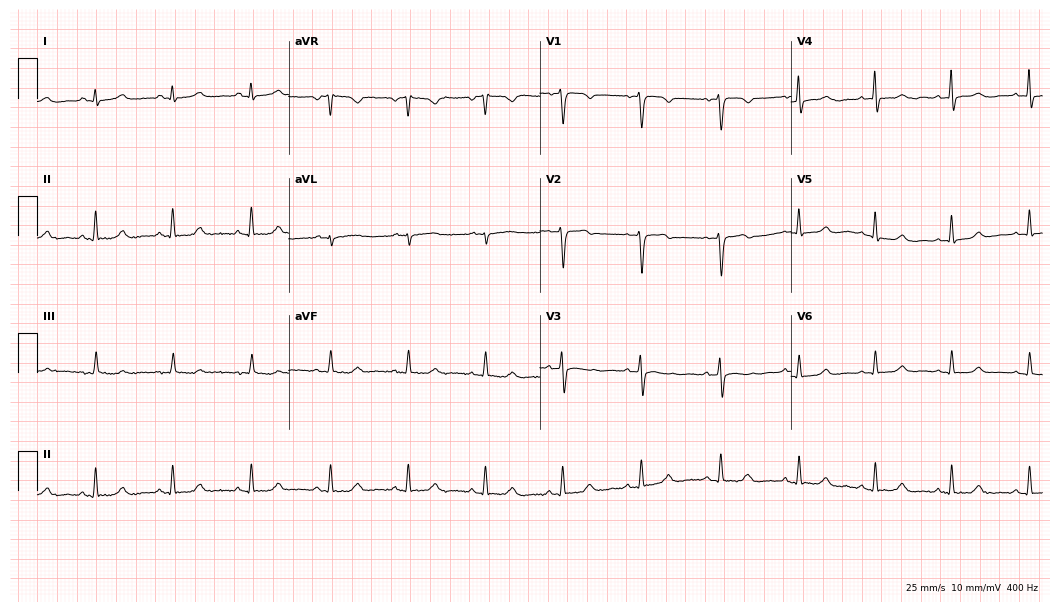
Electrocardiogram, a 50-year-old female patient. Of the six screened findings (first-degree AV block, right bundle branch block (RBBB), left bundle branch block (LBBB), sinus bradycardia, atrial fibrillation (AF), sinus tachycardia), none is recorded. Findings outside these six are not listed.